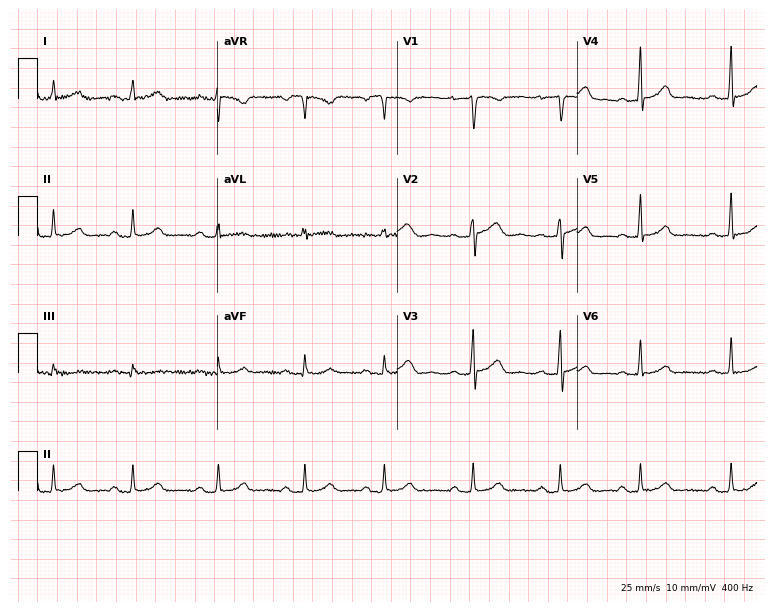
12-lead ECG from a 33-year-old woman (7.3-second recording at 400 Hz). Recorded interpretation: within normal limits.